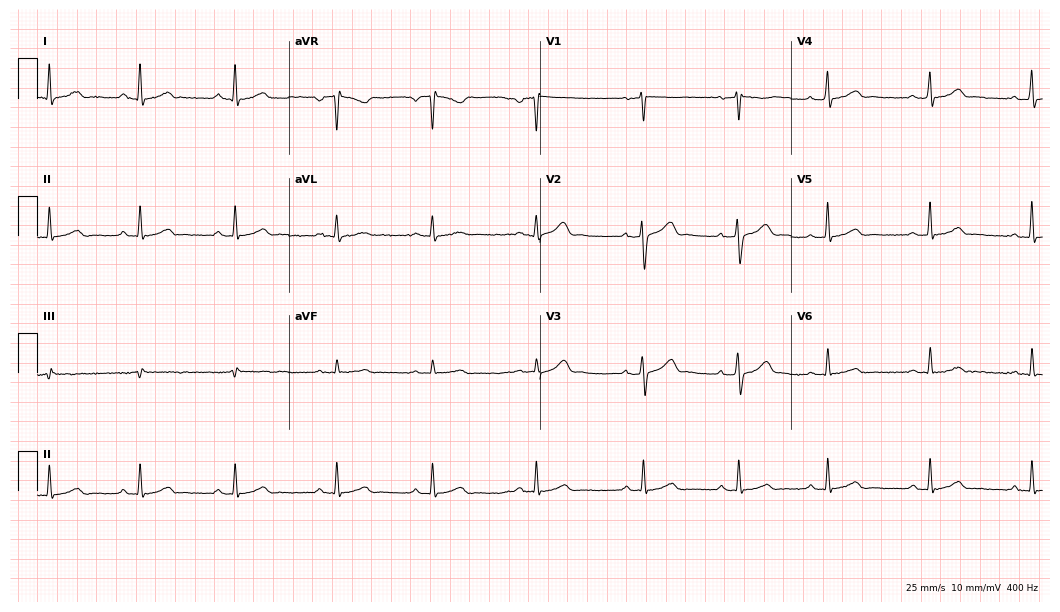
12-lead ECG from a female patient, 39 years old (10.2-second recording at 400 Hz). Recorded interpretation: within normal limits.